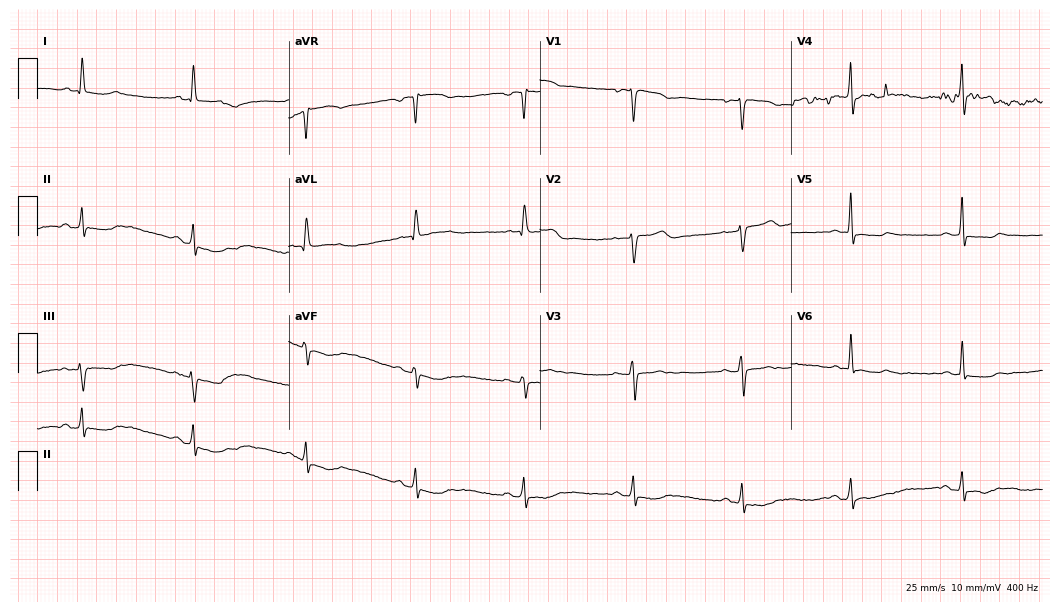
Standard 12-lead ECG recorded from a 73-year-old female patient (10.2-second recording at 400 Hz). None of these six findings is recorded: first-degree AV block, right bundle branch block, left bundle branch block, sinus bradycardia, atrial fibrillation, sinus tachycardia. Other findings, if any, are not listed.